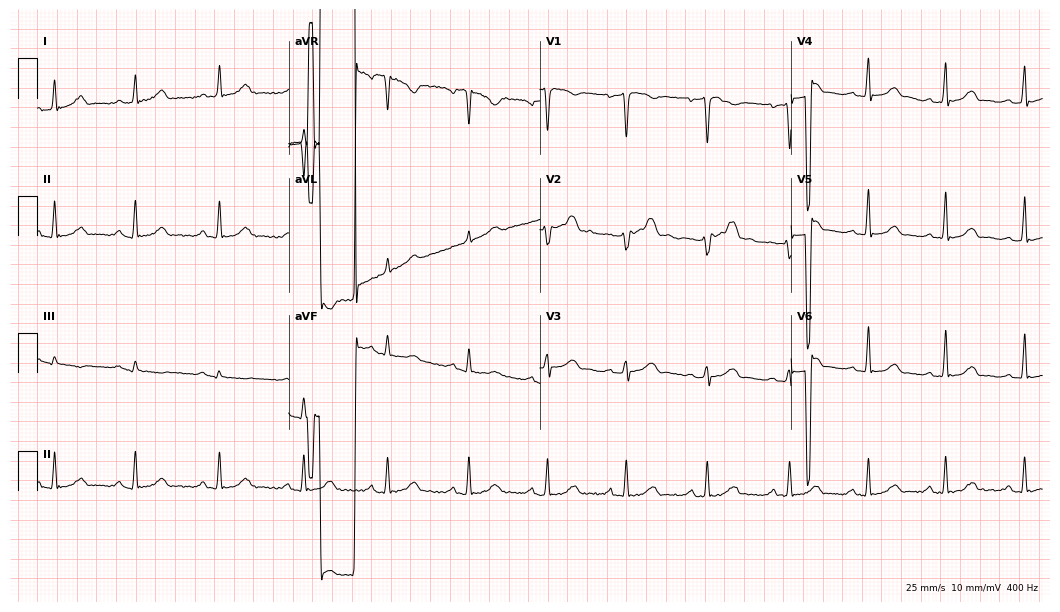
ECG (10.2-second recording at 400 Hz) — a 49-year-old woman. Screened for six findings — first-degree AV block, right bundle branch block (RBBB), left bundle branch block (LBBB), sinus bradycardia, atrial fibrillation (AF), sinus tachycardia — none is recorded.